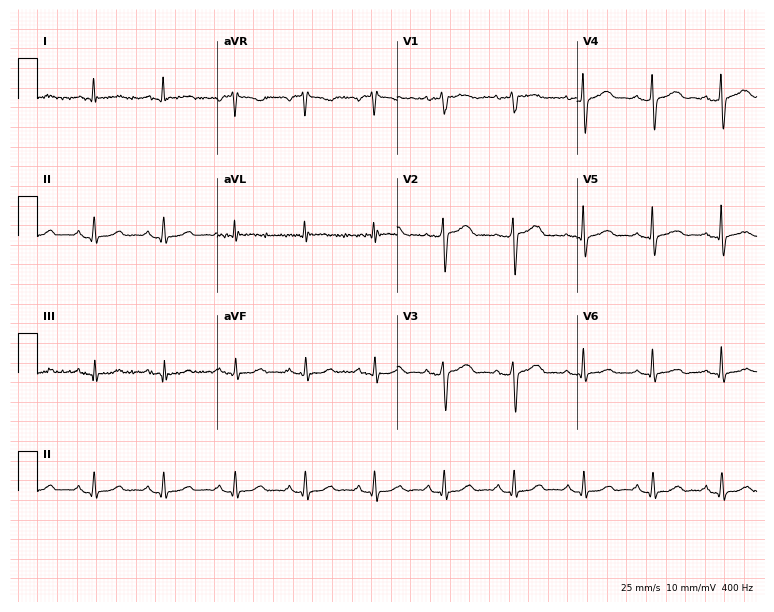
Resting 12-lead electrocardiogram. Patient: a female, 75 years old. Read as a normal ECG.